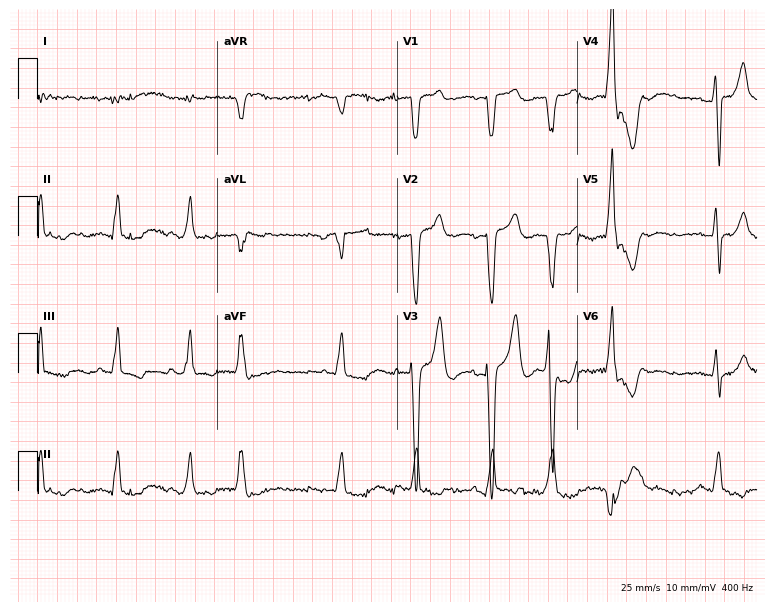
Standard 12-lead ECG recorded from an 84-year-old male patient (7.3-second recording at 400 Hz). None of these six findings is recorded: first-degree AV block, right bundle branch block, left bundle branch block, sinus bradycardia, atrial fibrillation, sinus tachycardia. Only these six findings were labelled.